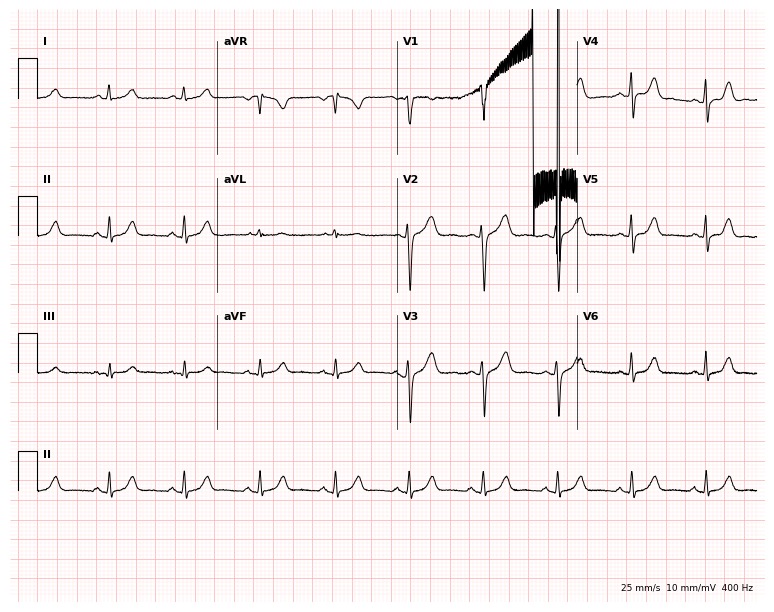
Resting 12-lead electrocardiogram (7.3-second recording at 400 Hz). Patient: a 30-year-old female. None of these six findings is recorded: first-degree AV block, right bundle branch block, left bundle branch block, sinus bradycardia, atrial fibrillation, sinus tachycardia.